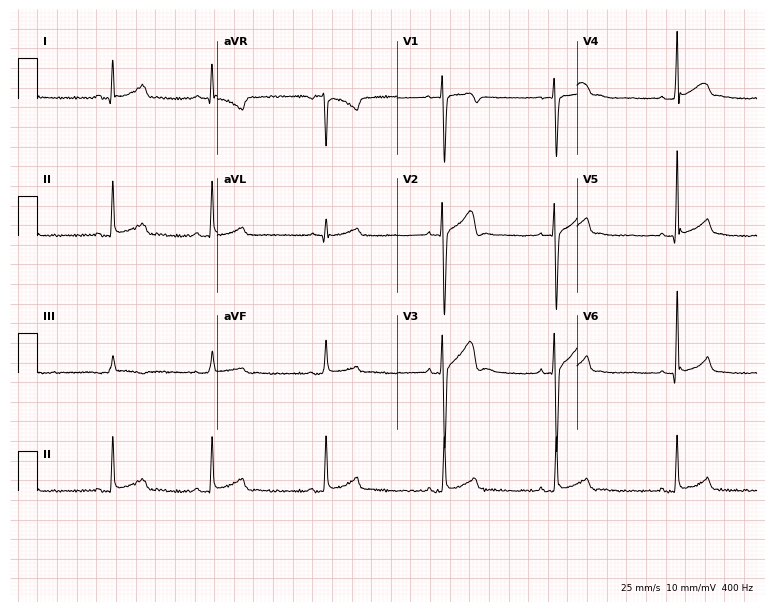
Electrocardiogram, a male patient, 27 years old. Of the six screened findings (first-degree AV block, right bundle branch block, left bundle branch block, sinus bradycardia, atrial fibrillation, sinus tachycardia), none is recorded. Findings outside these six are not listed.